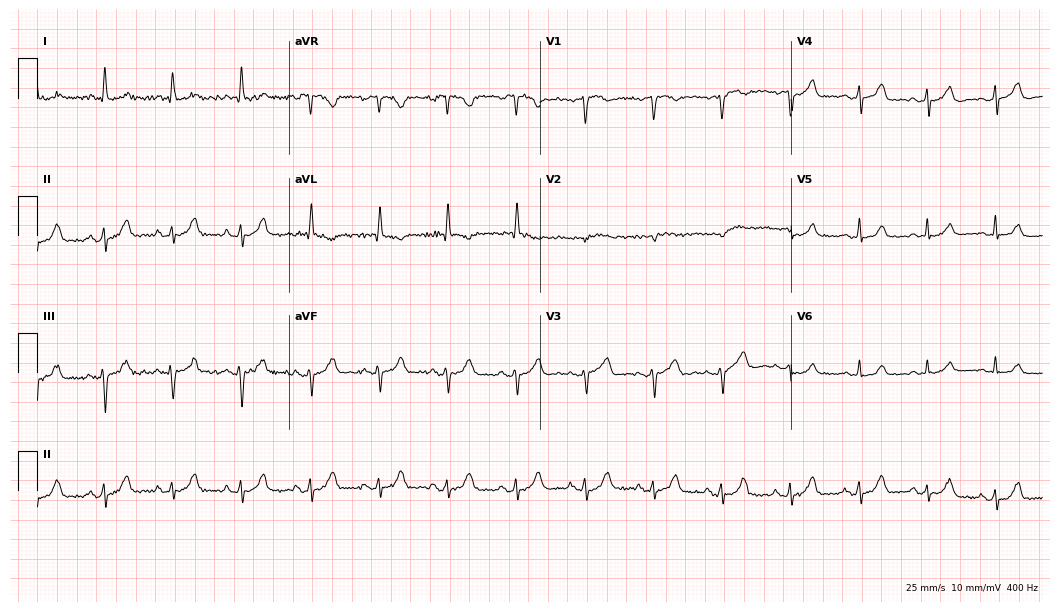
12-lead ECG from a 61-year-old female (10.2-second recording at 400 Hz). Recorded interpretation: within normal limits.